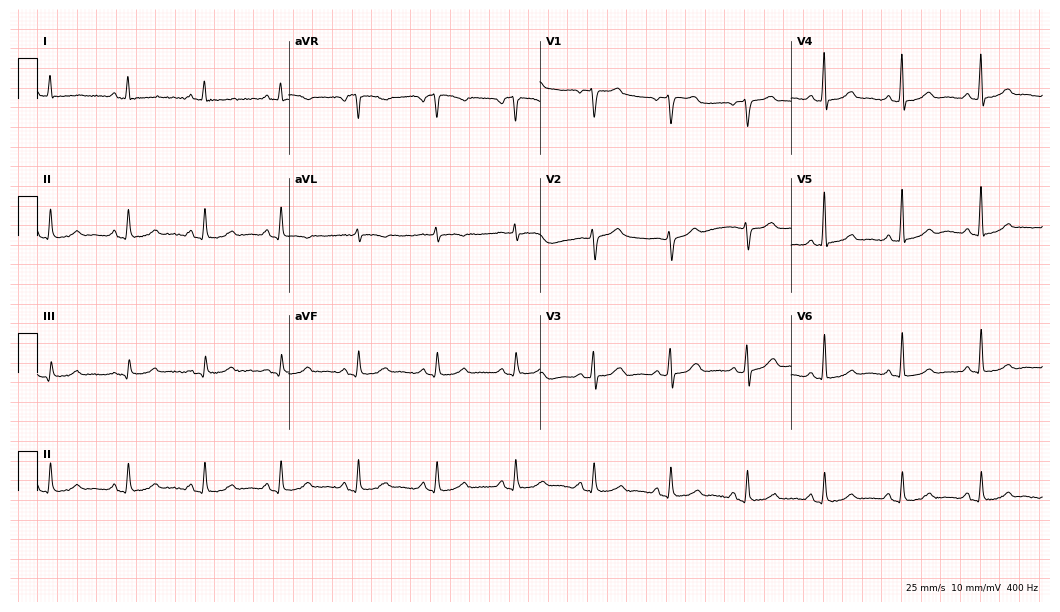
12-lead ECG (10.2-second recording at 400 Hz) from a female, 62 years old. Labelled as a normal ECG.